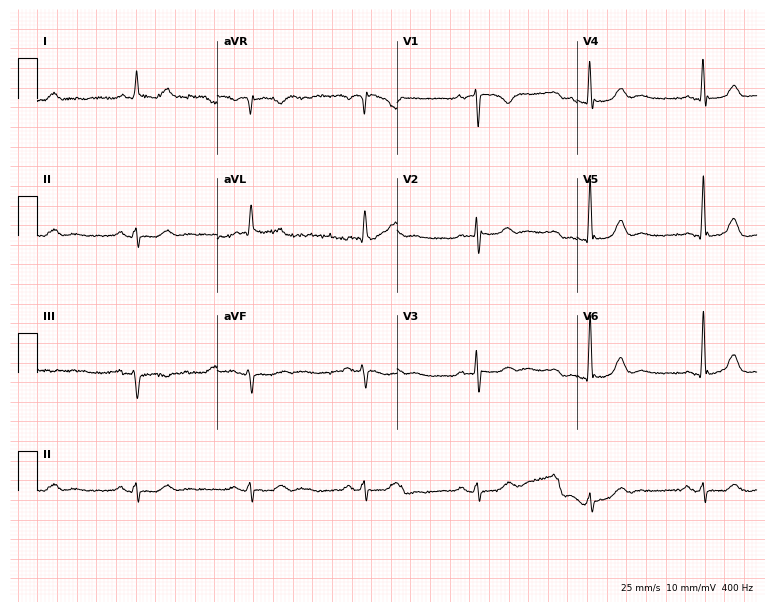
Standard 12-lead ECG recorded from an 85-year-old male. None of these six findings is recorded: first-degree AV block, right bundle branch block, left bundle branch block, sinus bradycardia, atrial fibrillation, sinus tachycardia. Only these six findings were labelled.